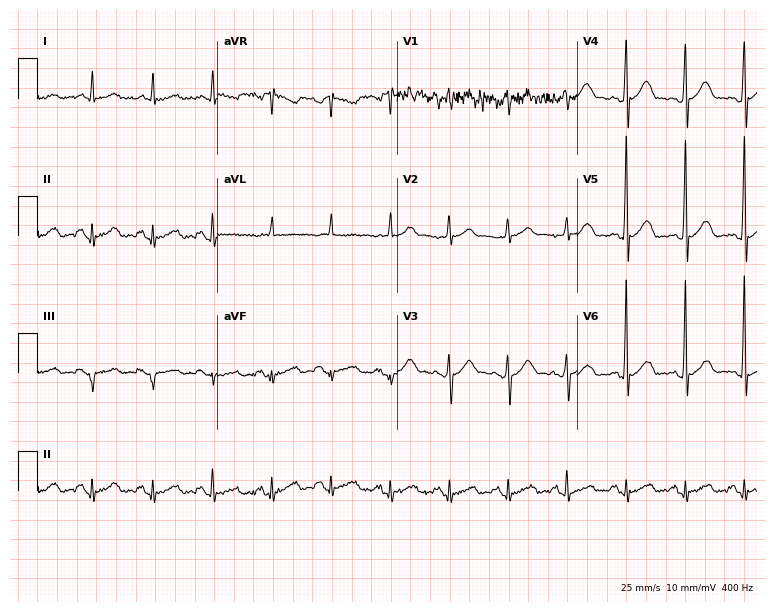
Electrocardiogram, a 57-year-old male patient. Of the six screened findings (first-degree AV block, right bundle branch block (RBBB), left bundle branch block (LBBB), sinus bradycardia, atrial fibrillation (AF), sinus tachycardia), none is recorded. Other findings, if any, are not listed.